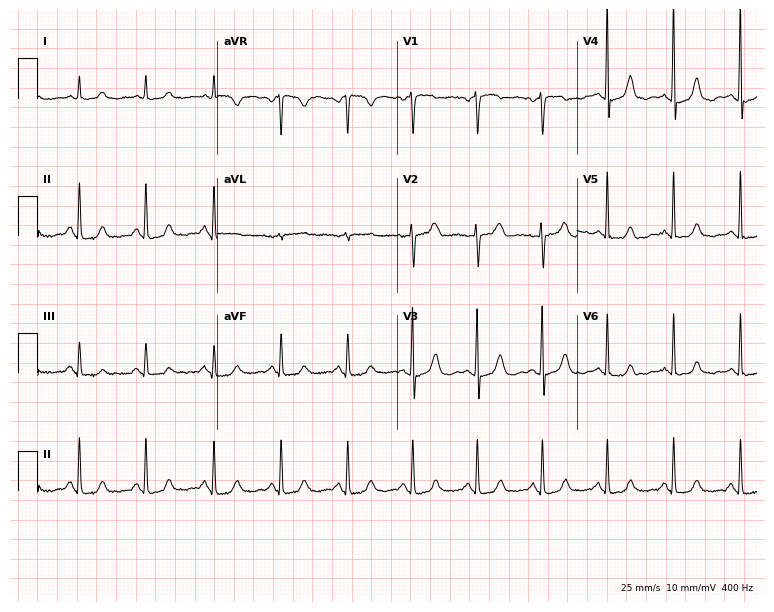
12-lead ECG from a female patient, 66 years old (7.3-second recording at 400 Hz). No first-degree AV block, right bundle branch block, left bundle branch block, sinus bradycardia, atrial fibrillation or sinus tachycardia recorded for this tracing. Findings outside these six are not listed.